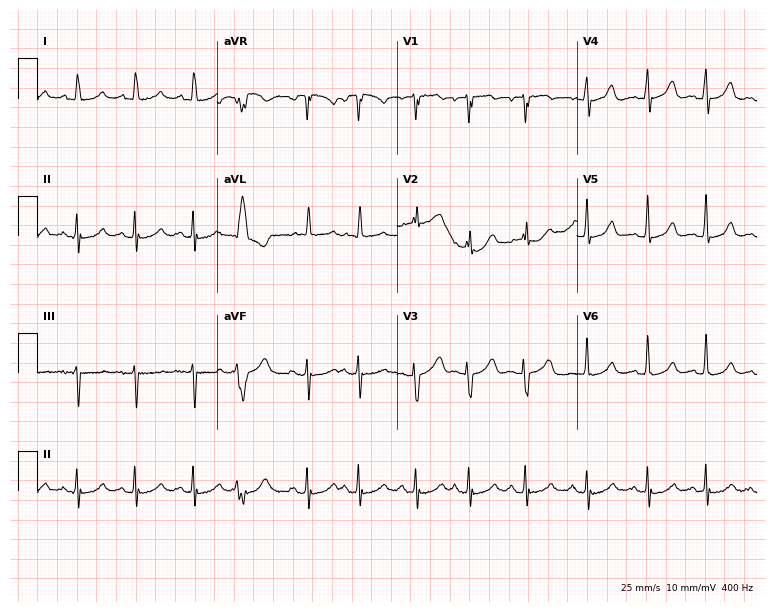
ECG — a woman, 89 years old. Findings include sinus tachycardia (a sinus rate of 100 beats per minute or more).